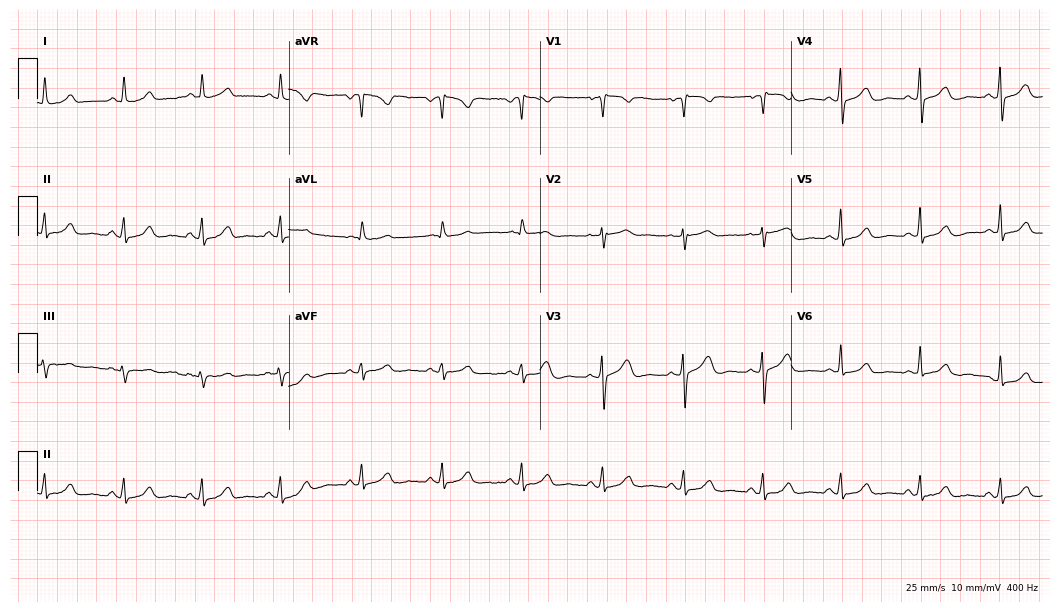
Standard 12-lead ECG recorded from a female, 47 years old (10.2-second recording at 400 Hz). Read as a normal ECG.